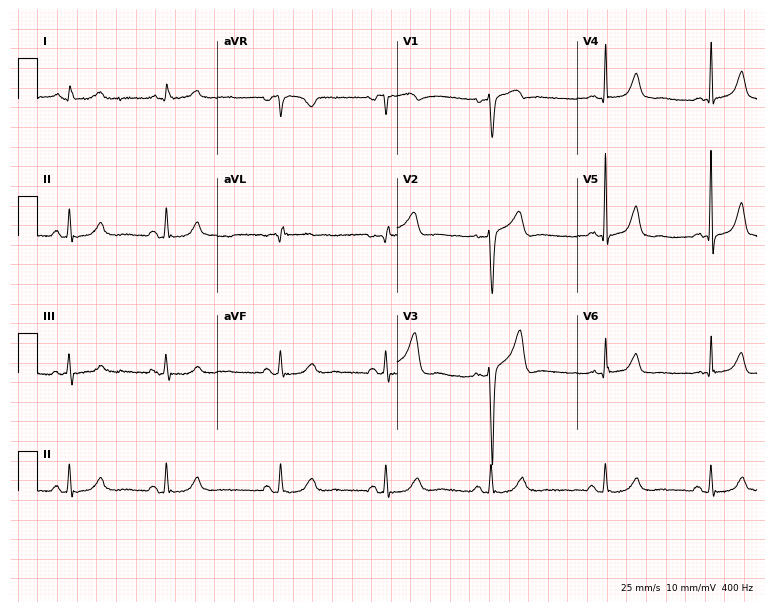
12-lead ECG from a man, 81 years old. Recorded interpretation: within normal limits.